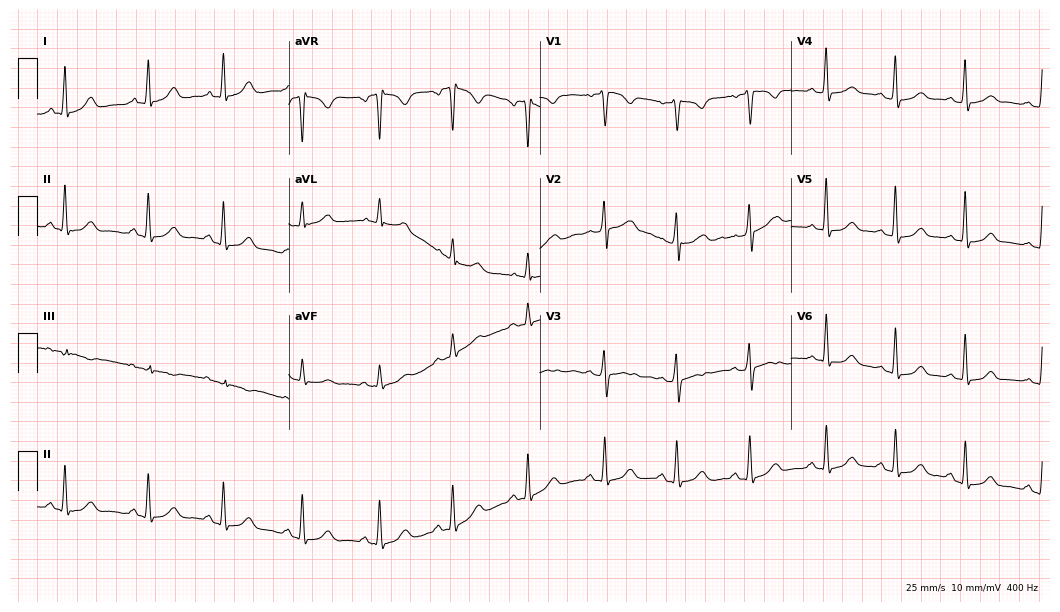
ECG — a woman, 26 years old. Labelled as a normal ECG.